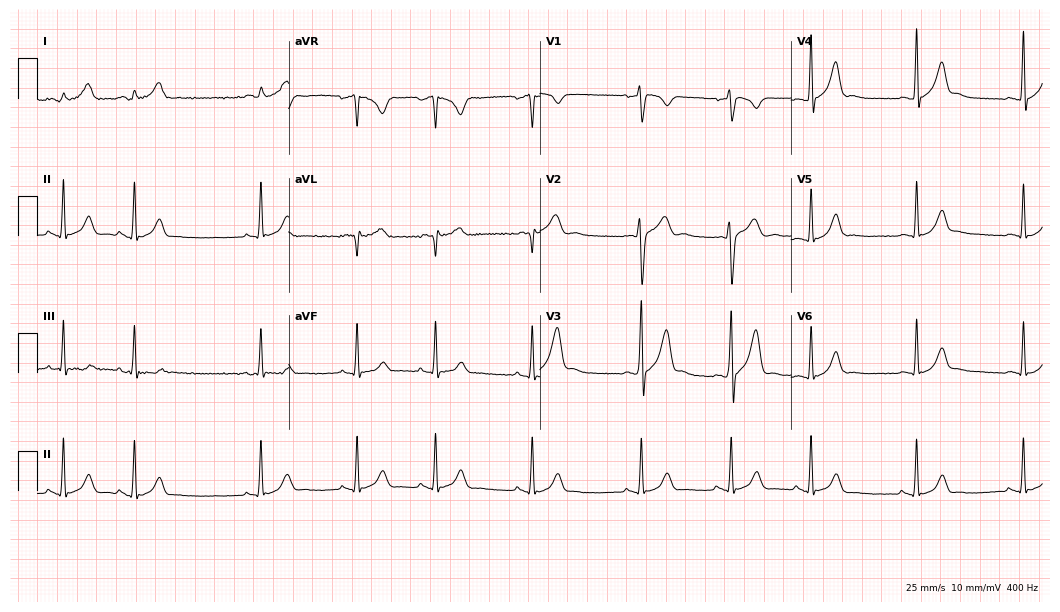
12-lead ECG from a male patient, 19 years old. Screened for six findings — first-degree AV block, right bundle branch block, left bundle branch block, sinus bradycardia, atrial fibrillation, sinus tachycardia — none is recorded.